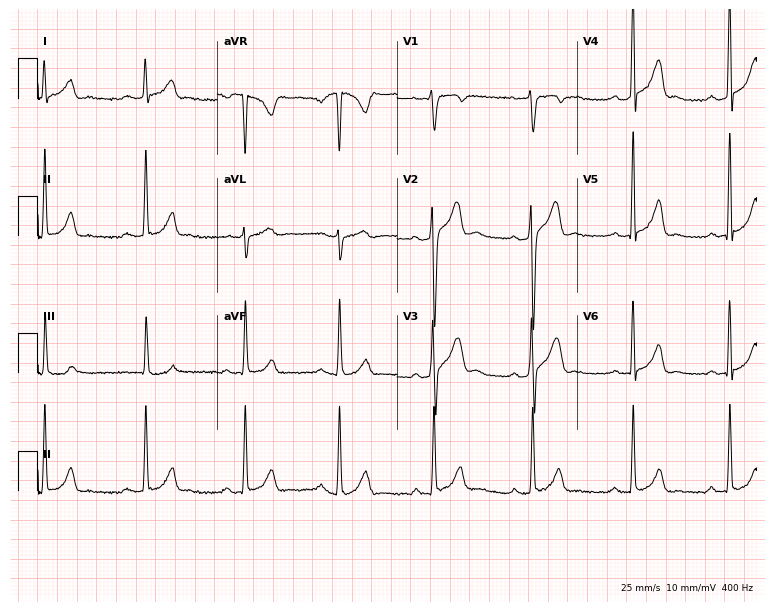
12-lead ECG (7.3-second recording at 400 Hz) from a man, 26 years old. Screened for six findings — first-degree AV block, right bundle branch block (RBBB), left bundle branch block (LBBB), sinus bradycardia, atrial fibrillation (AF), sinus tachycardia — none is recorded. Other findings, if any, are not listed.